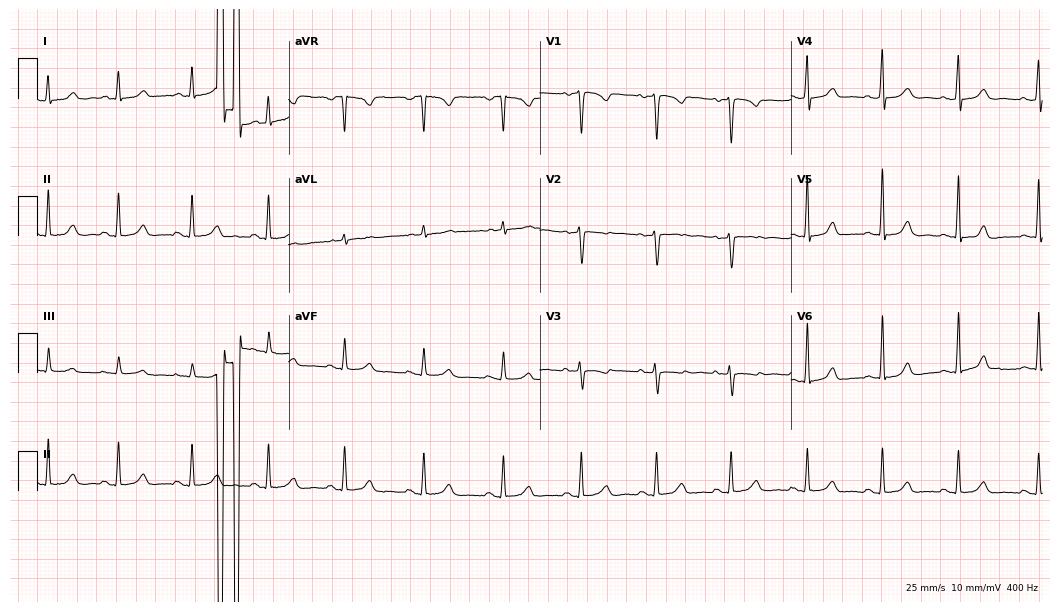
Resting 12-lead electrocardiogram. Patient: a 38-year-old woman. None of these six findings is recorded: first-degree AV block, right bundle branch block (RBBB), left bundle branch block (LBBB), sinus bradycardia, atrial fibrillation (AF), sinus tachycardia. Only these six findings were labelled.